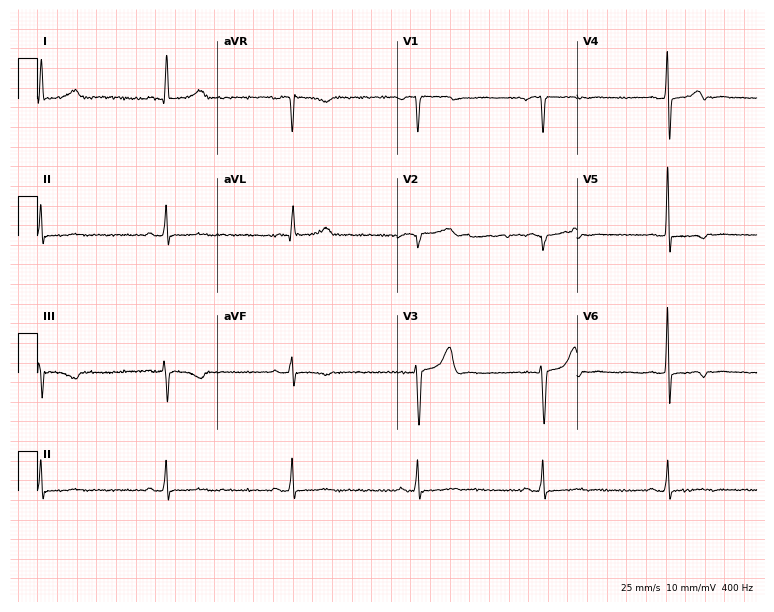
Resting 12-lead electrocardiogram. Patient: a 75-year-old male. None of these six findings is recorded: first-degree AV block, right bundle branch block (RBBB), left bundle branch block (LBBB), sinus bradycardia, atrial fibrillation (AF), sinus tachycardia.